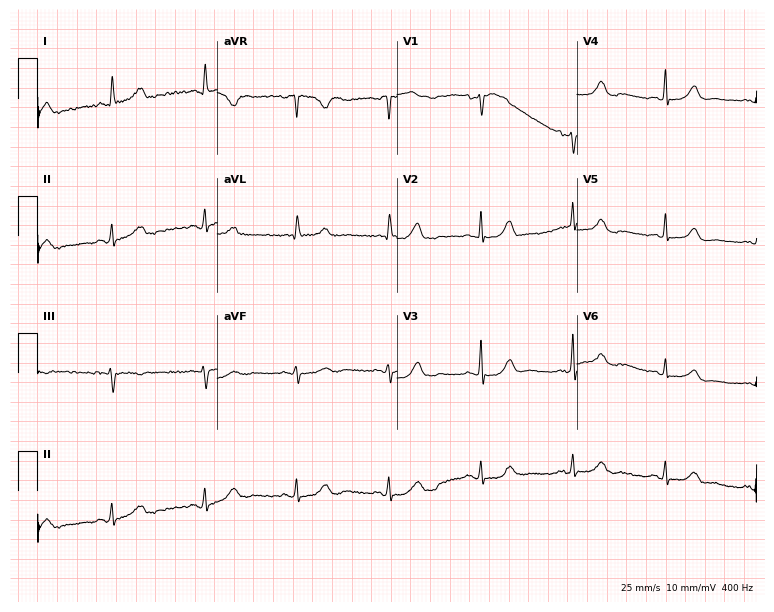
Standard 12-lead ECG recorded from a female, 65 years old. None of these six findings is recorded: first-degree AV block, right bundle branch block (RBBB), left bundle branch block (LBBB), sinus bradycardia, atrial fibrillation (AF), sinus tachycardia.